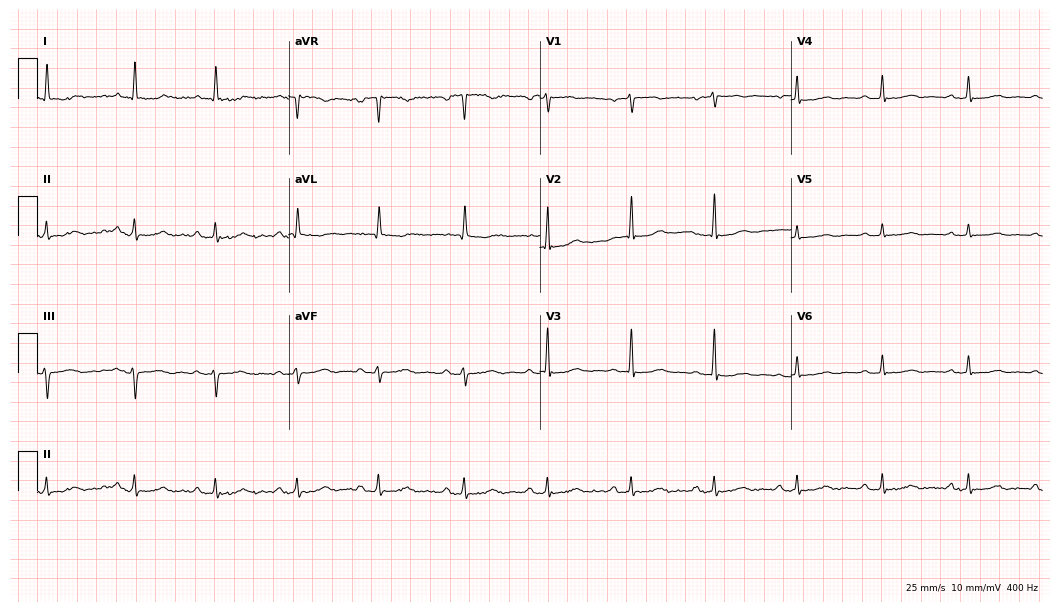
12-lead ECG from a 74-year-old female patient. Recorded interpretation: within normal limits.